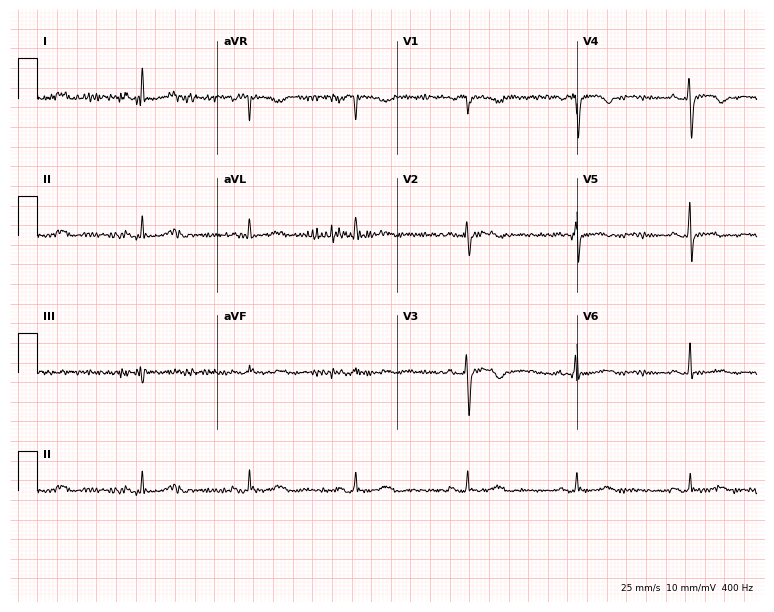
Standard 12-lead ECG recorded from a 60-year-old female patient. None of these six findings is recorded: first-degree AV block, right bundle branch block (RBBB), left bundle branch block (LBBB), sinus bradycardia, atrial fibrillation (AF), sinus tachycardia. Other findings, if any, are not listed.